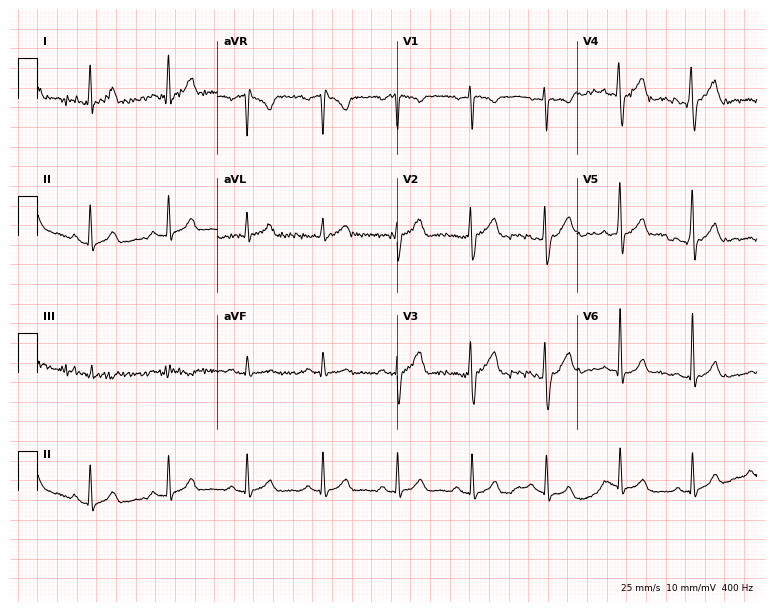
12-lead ECG from a 26-year-old male patient (7.3-second recording at 400 Hz). Recorded interpretation: within normal limits.